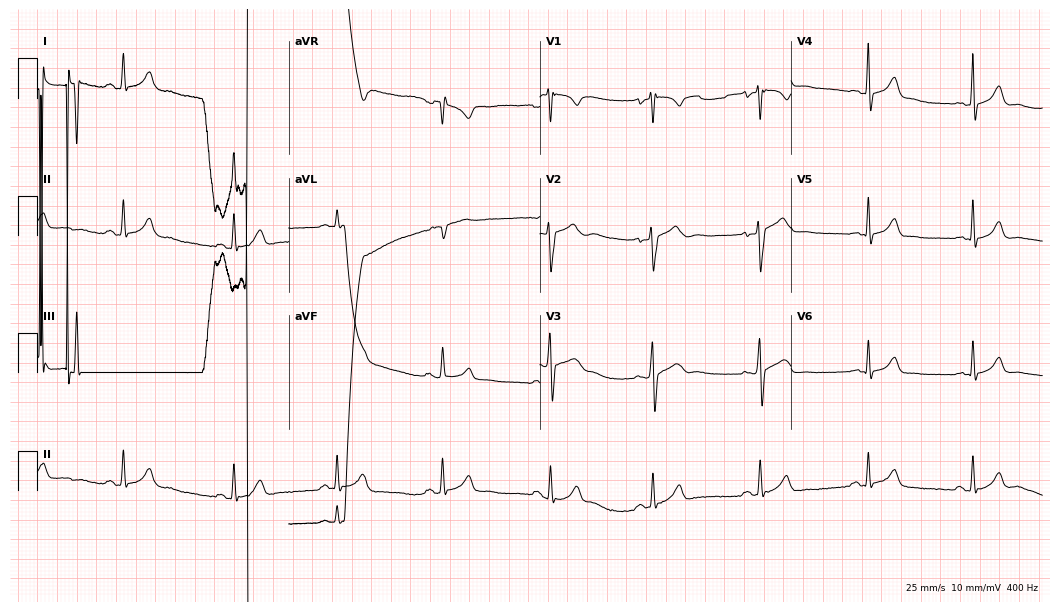
12-lead ECG from a 22-year-old male patient (10.2-second recording at 400 Hz). Recorded interpretation: within normal limits.